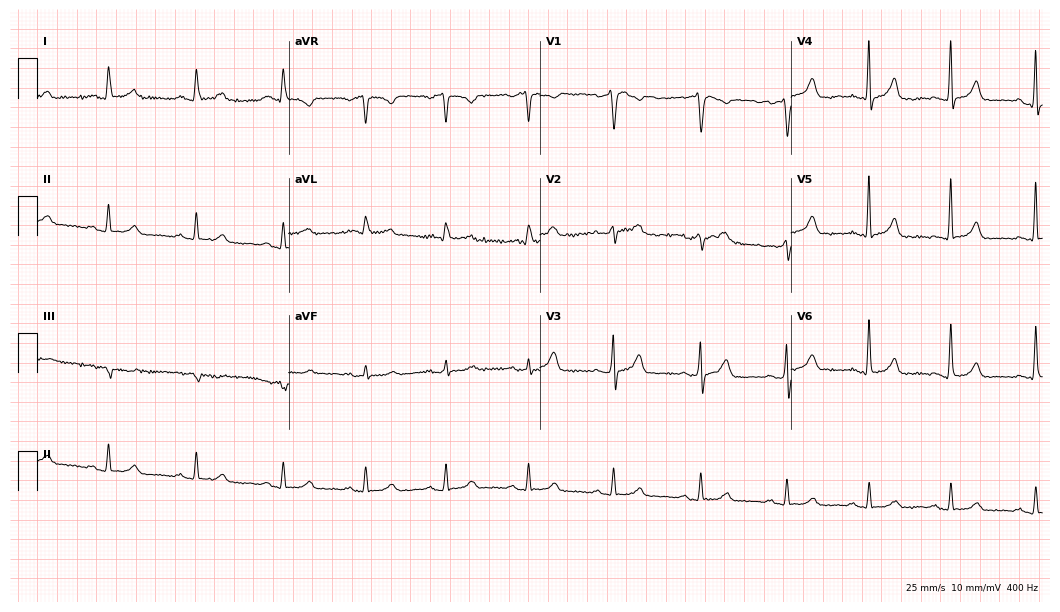
ECG (10.2-second recording at 400 Hz) — a 52-year-old female. Labelled as a normal ECG.